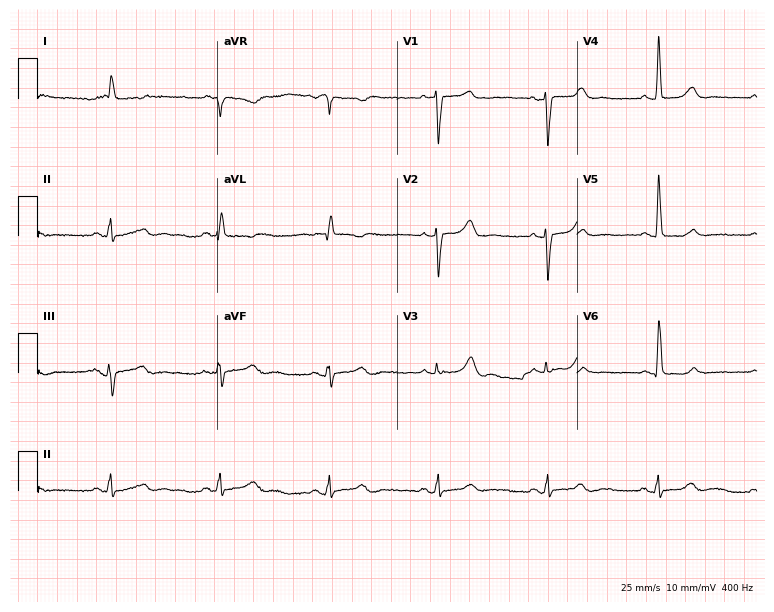
Standard 12-lead ECG recorded from a female patient, 63 years old (7.3-second recording at 400 Hz). Read as a normal ECG.